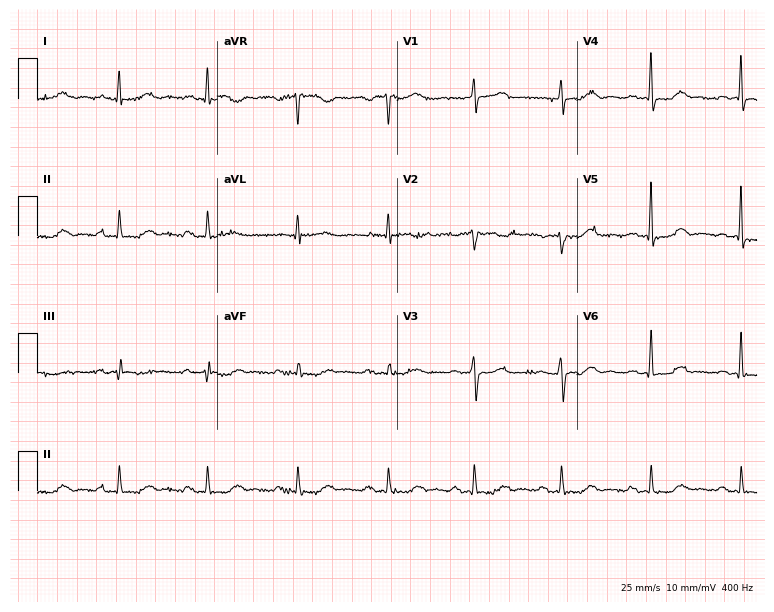
Electrocardiogram (7.3-second recording at 400 Hz), a woman, 60 years old. Overall reading on record: normal ECG.